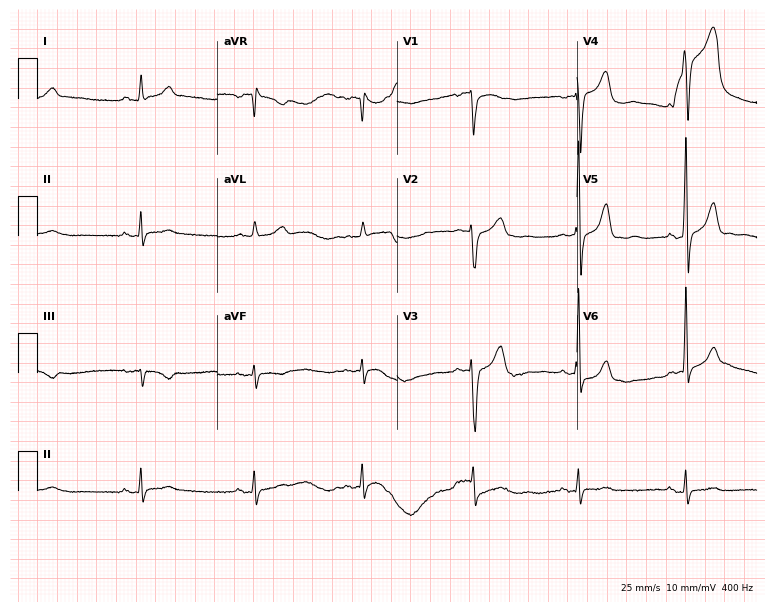
Resting 12-lead electrocardiogram (7.3-second recording at 400 Hz). Patient: a male, 57 years old. None of these six findings is recorded: first-degree AV block, right bundle branch block, left bundle branch block, sinus bradycardia, atrial fibrillation, sinus tachycardia. Other findings, if any, are not listed.